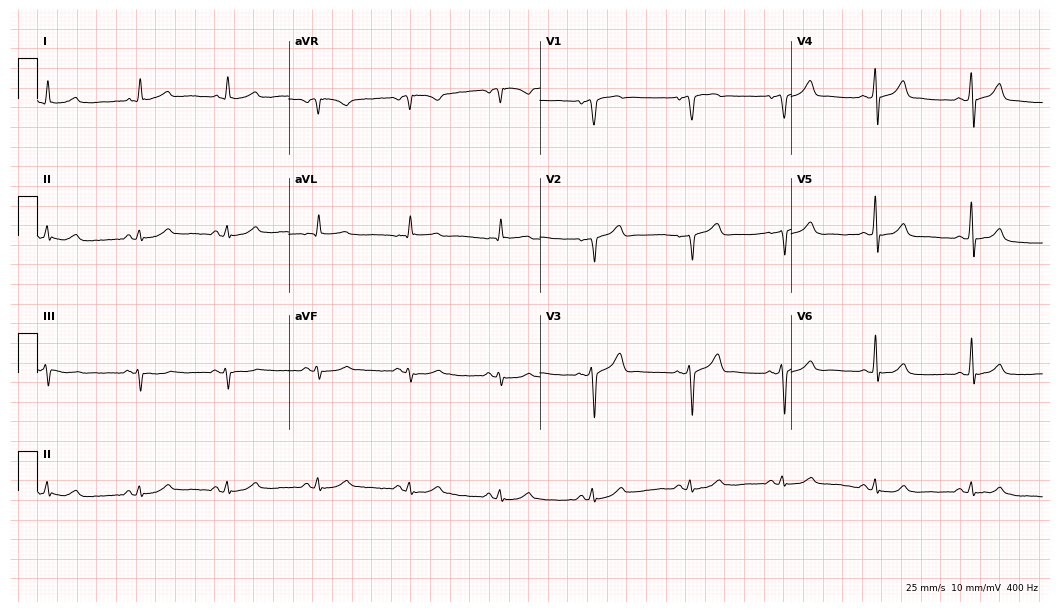
12-lead ECG from a 64-year-old man. Screened for six findings — first-degree AV block, right bundle branch block, left bundle branch block, sinus bradycardia, atrial fibrillation, sinus tachycardia — none is recorded.